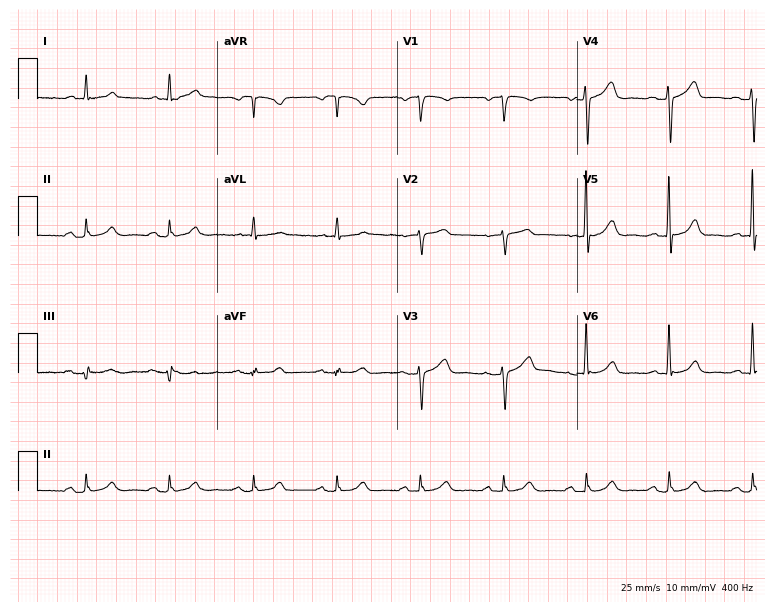
12-lead ECG from a 69-year-old male (7.3-second recording at 400 Hz). No first-degree AV block, right bundle branch block, left bundle branch block, sinus bradycardia, atrial fibrillation or sinus tachycardia recorded for this tracing. Findings outside these six are not listed.